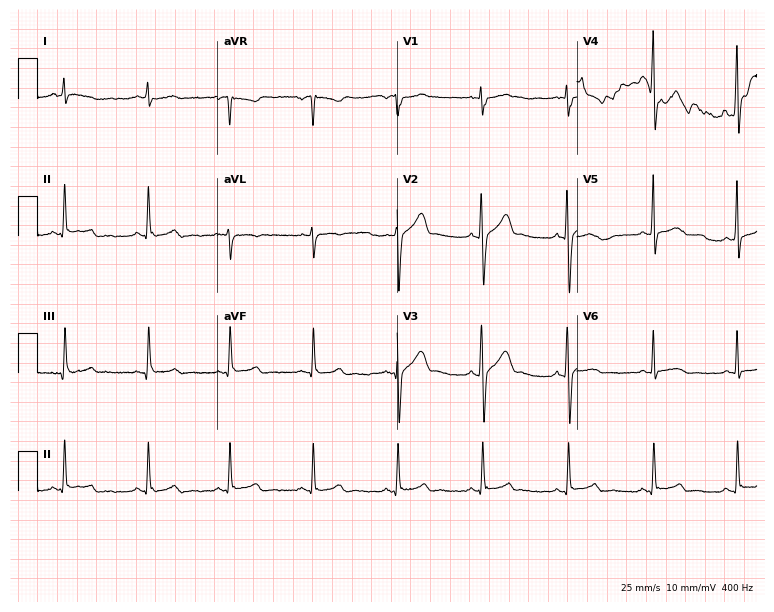
Electrocardiogram, a 35-year-old male. Overall reading on record: normal ECG.